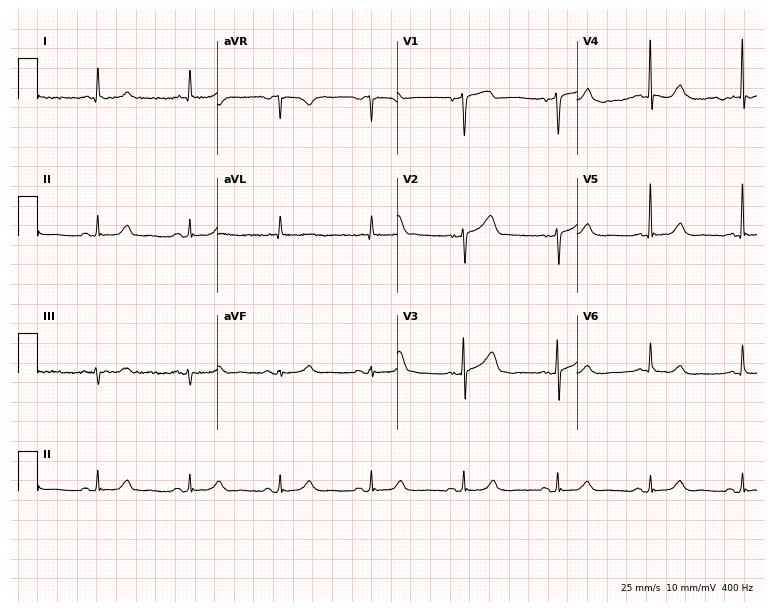
ECG (7.3-second recording at 400 Hz) — a 75-year-old female. Labelled as a normal ECG.